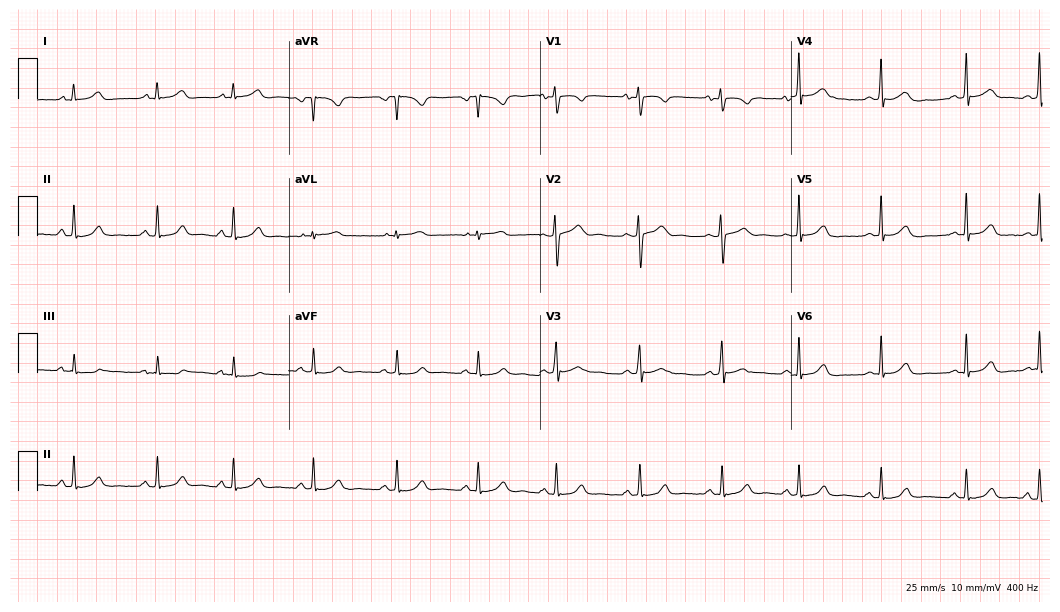
12-lead ECG from an 18-year-old woman. Labelled as a normal ECG.